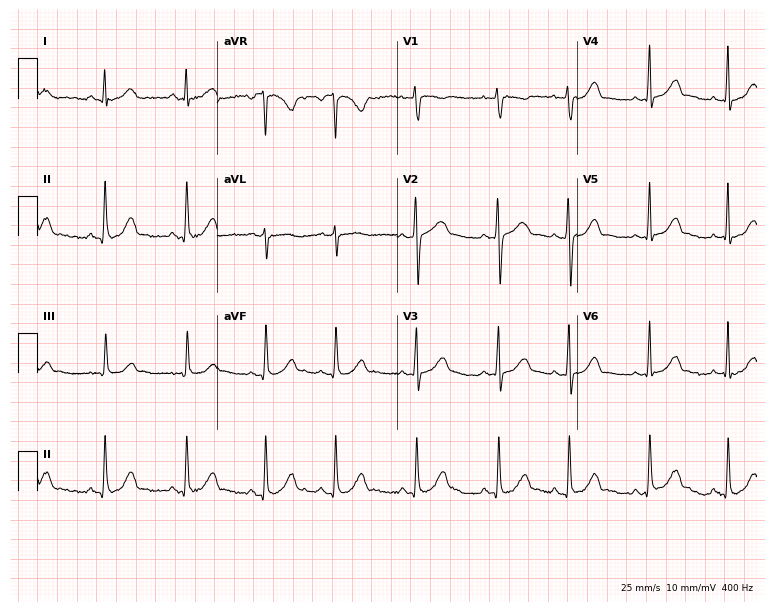
ECG — a 21-year-old woman. Labelled as a normal ECG.